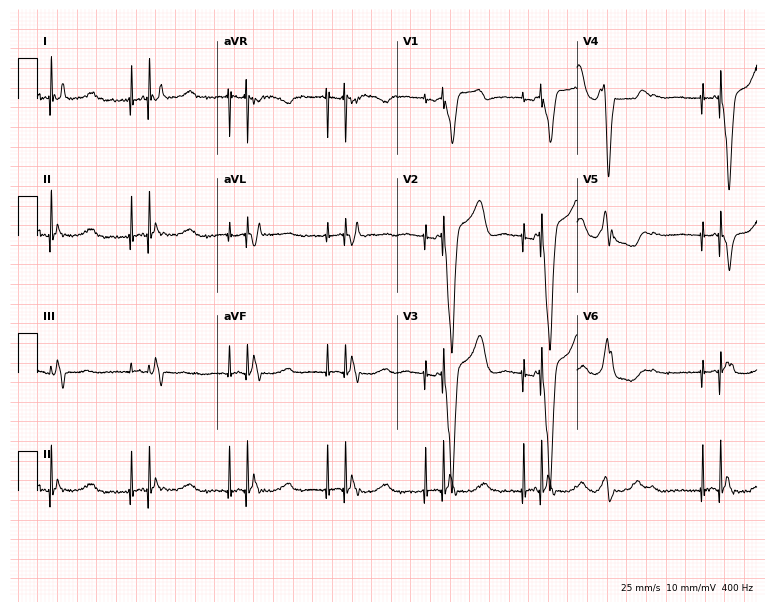
Standard 12-lead ECG recorded from a man, 76 years old (7.3-second recording at 400 Hz). None of these six findings is recorded: first-degree AV block, right bundle branch block, left bundle branch block, sinus bradycardia, atrial fibrillation, sinus tachycardia.